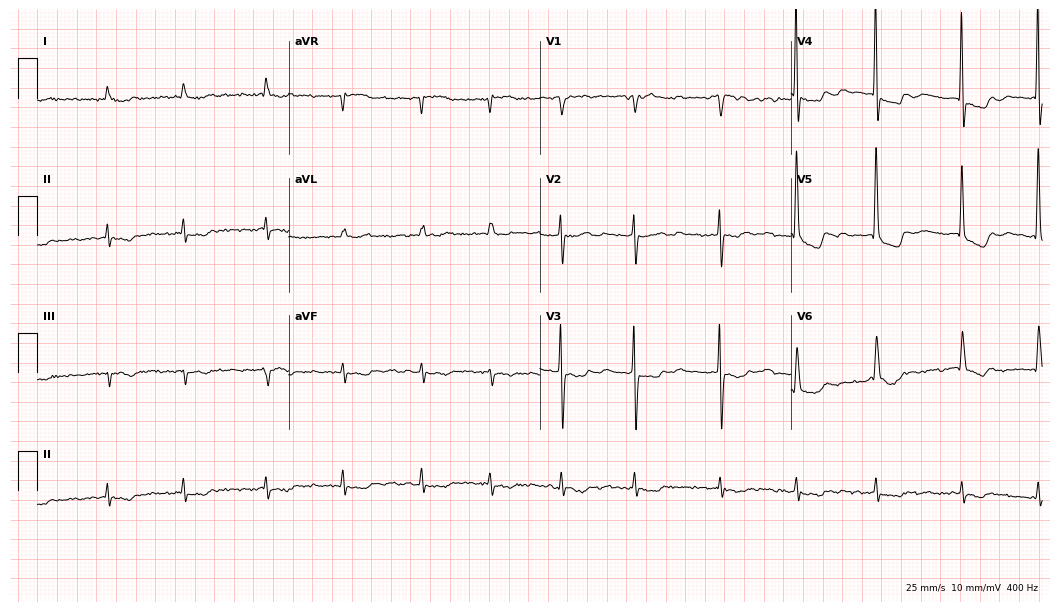
Standard 12-lead ECG recorded from a female patient, 80 years old (10.2-second recording at 400 Hz). None of these six findings is recorded: first-degree AV block, right bundle branch block (RBBB), left bundle branch block (LBBB), sinus bradycardia, atrial fibrillation (AF), sinus tachycardia. Findings outside these six are not listed.